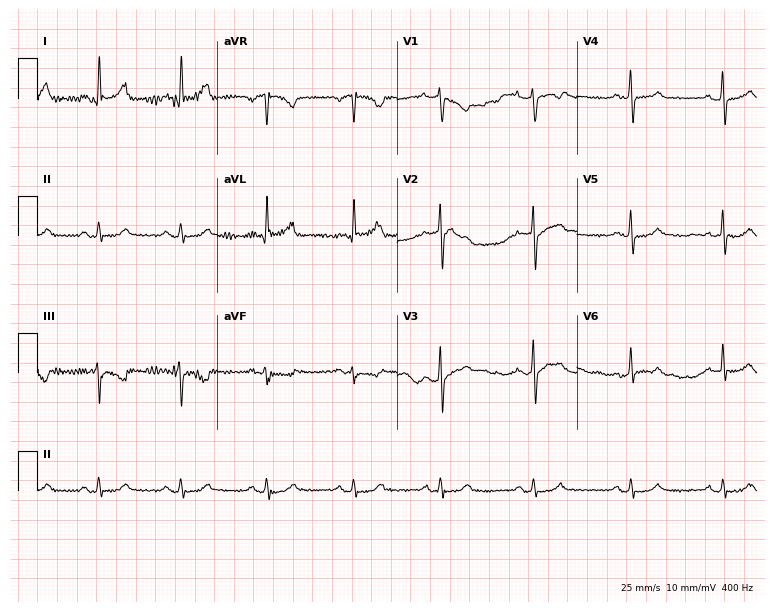
Standard 12-lead ECG recorded from a female patient, 46 years old. Read as a normal ECG.